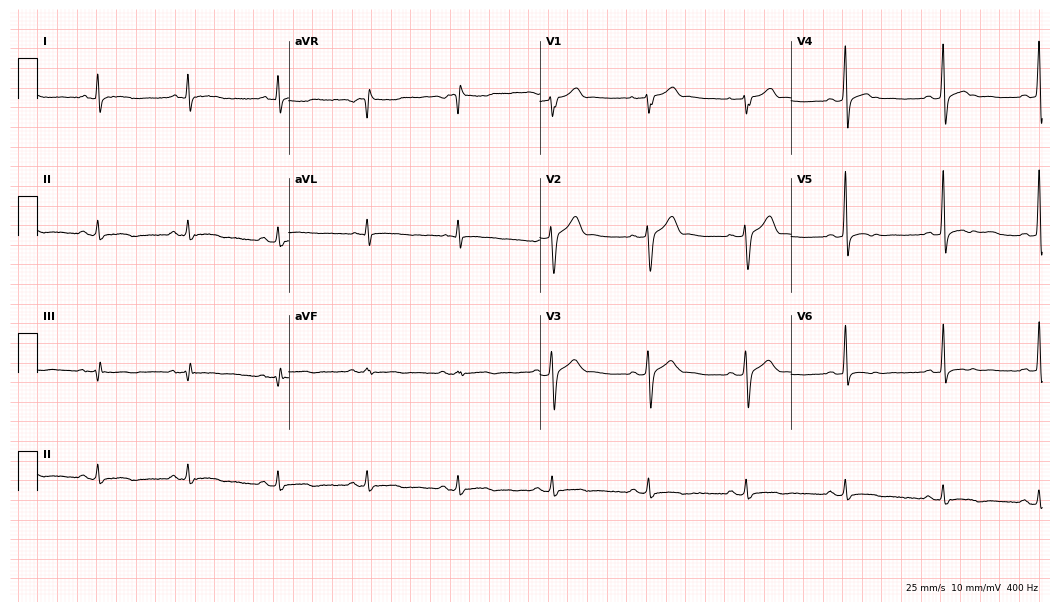
12-lead ECG (10.2-second recording at 400 Hz) from a 43-year-old male. Screened for six findings — first-degree AV block, right bundle branch block, left bundle branch block, sinus bradycardia, atrial fibrillation, sinus tachycardia — none is recorded.